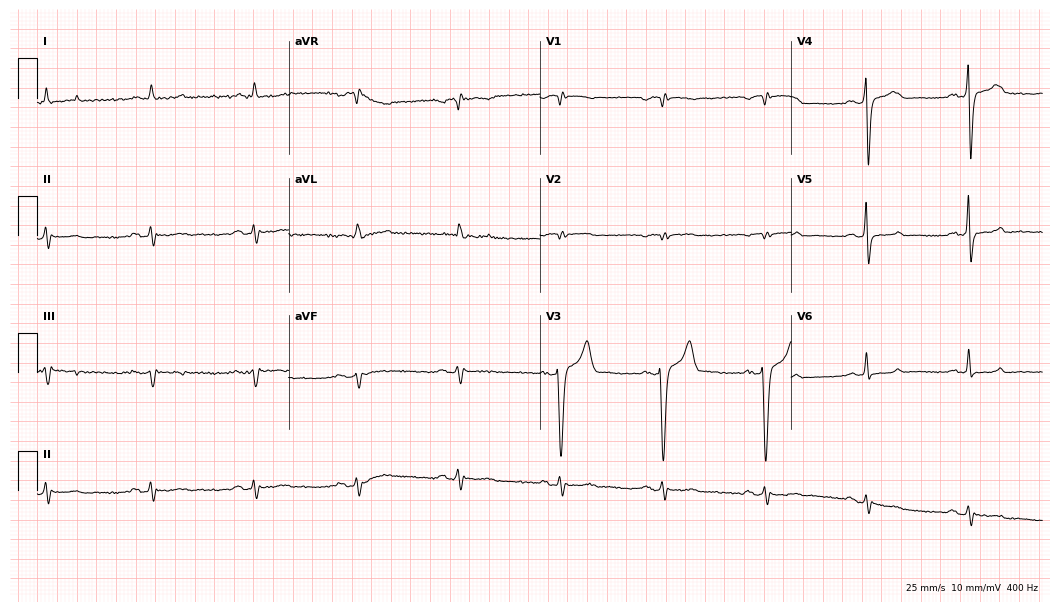
ECG — a man, 75 years old. Screened for six findings — first-degree AV block, right bundle branch block, left bundle branch block, sinus bradycardia, atrial fibrillation, sinus tachycardia — none is recorded.